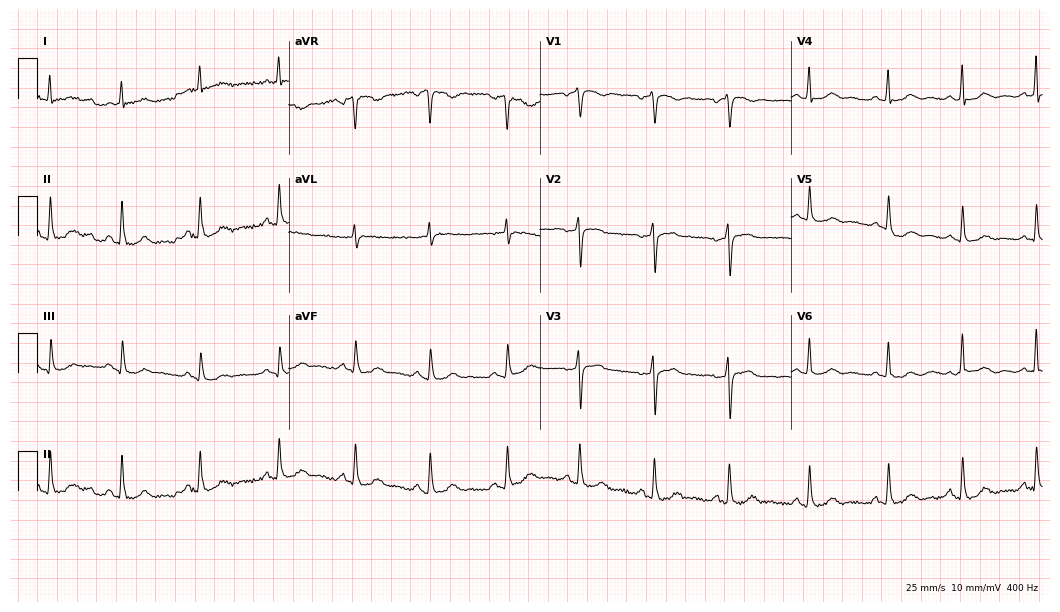
ECG — a female, 76 years old. Labelled as a normal ECG.